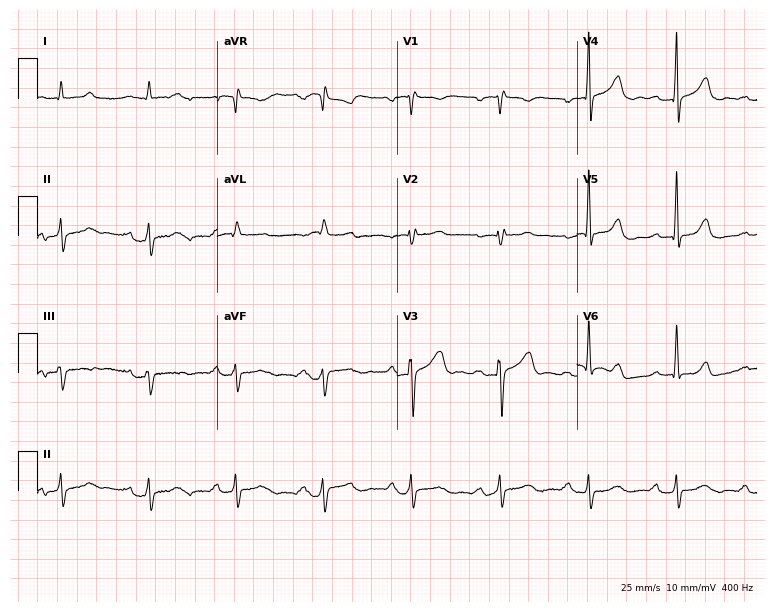
12-lead ECG from a 58-year-old male patient (7.3-second recording at 400 Hz). Shows first-degree AV block.